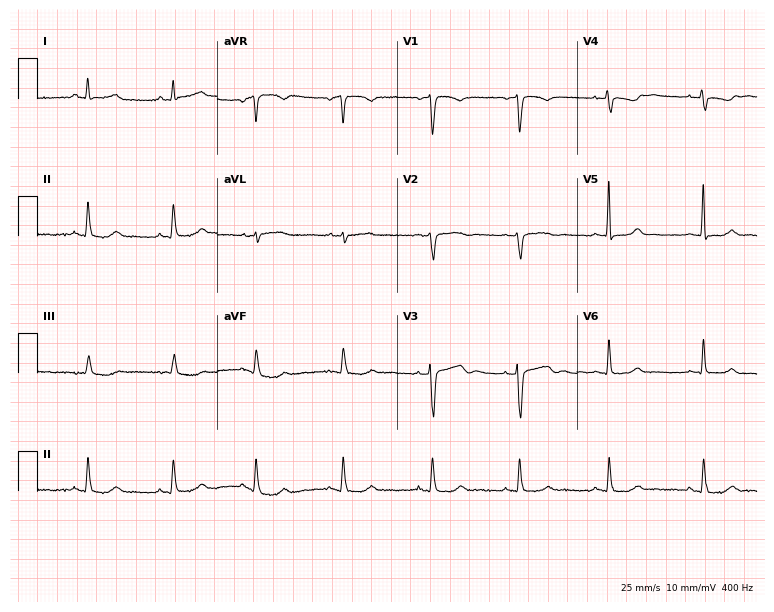
ECG (7.3-second recording at 400 Hz) — a female patient, 39 years old. Screened for six findings — first-degree AV block, right bundle branch block, left bundle branch block, sinus bradycardia, atrial fibrillation, sinus tachycardia — none is recorded. Findings outside these six are not listed.